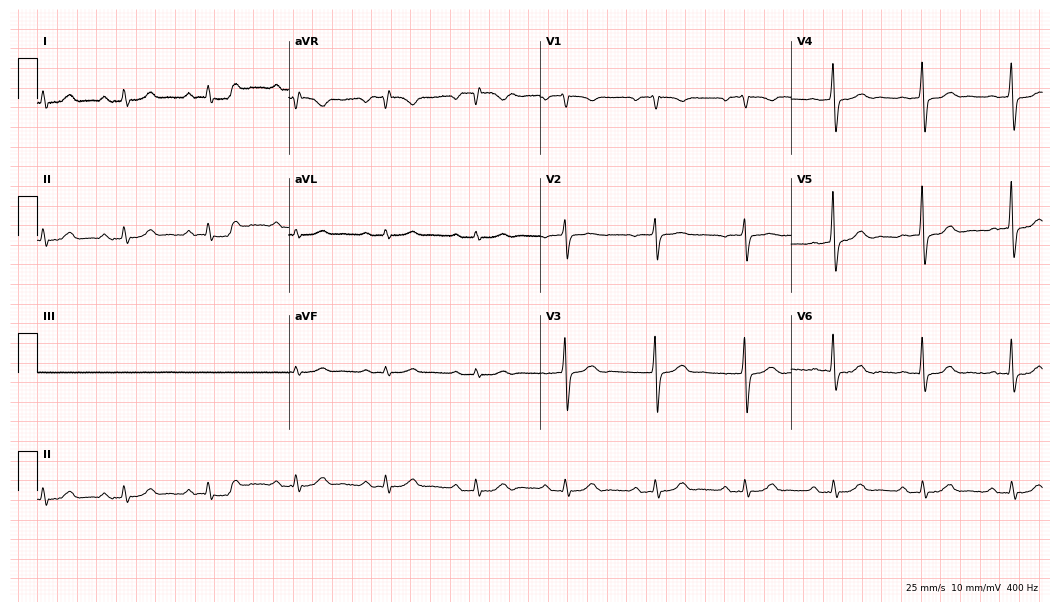
12-lead ECG (10.2-second recording at 400 Hz) from a 69-year-old man. Screened for six findings — first-degree AV block, right bundle branch block, left bundle branch block, sinus bradycardia, atrial fibrillation, sinus tachycardia — none is recorded. Only these six findings were labelled.